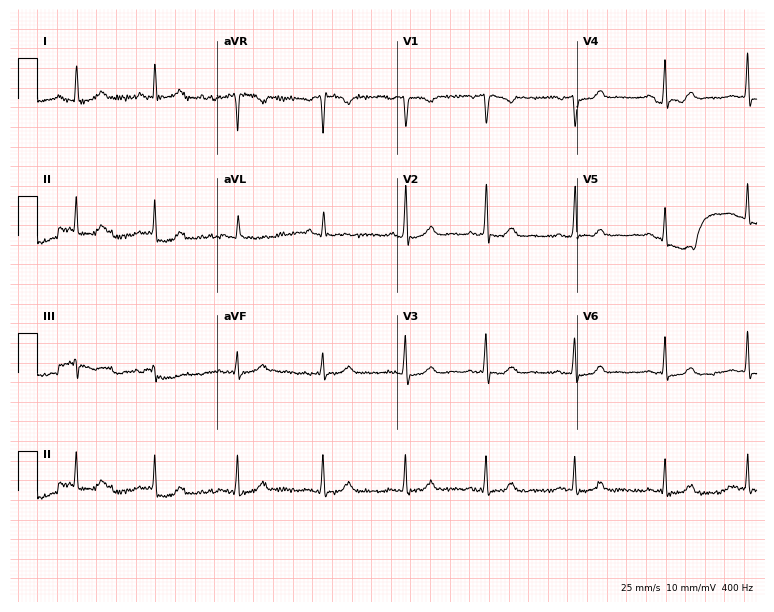
12-lead ECG from a 34-year-old female. No first-degree AV block, right bundle branch block, left bundle branch block, sinus bradycardia, atrial fibrillation or sinus tachycardia recorded for this tracing.